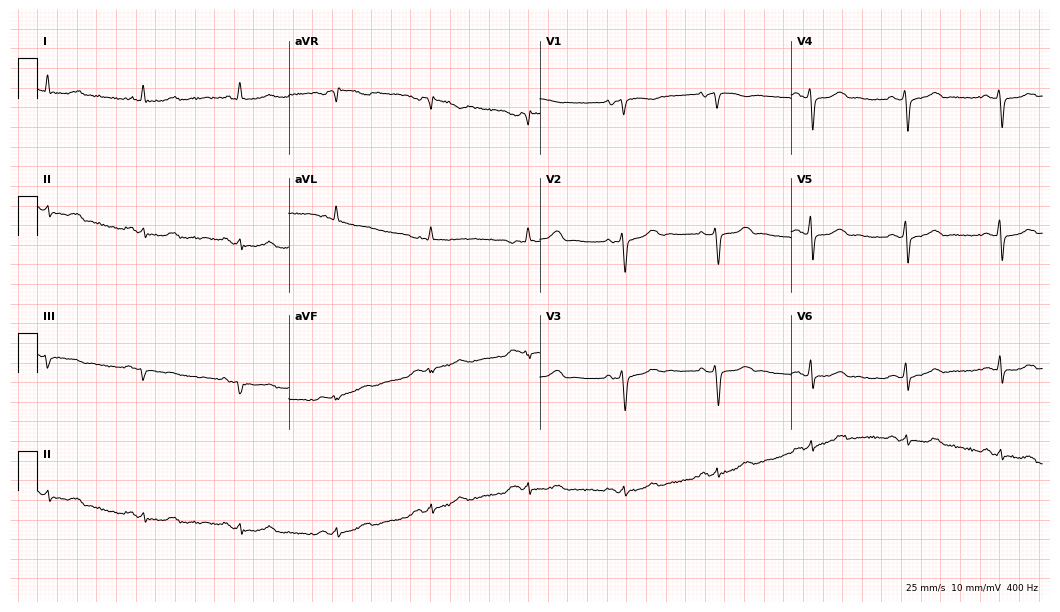
Resting 12-lead electrocardiogram (10.2-second recording at 400 Hz). Patient: a woman, 70 years old. None of these six findings is recorded: first-degree AV block, right bundle branch block, left bundle branch block, sinus bradycardia, atrial fibrillation, sinus tachycardia.